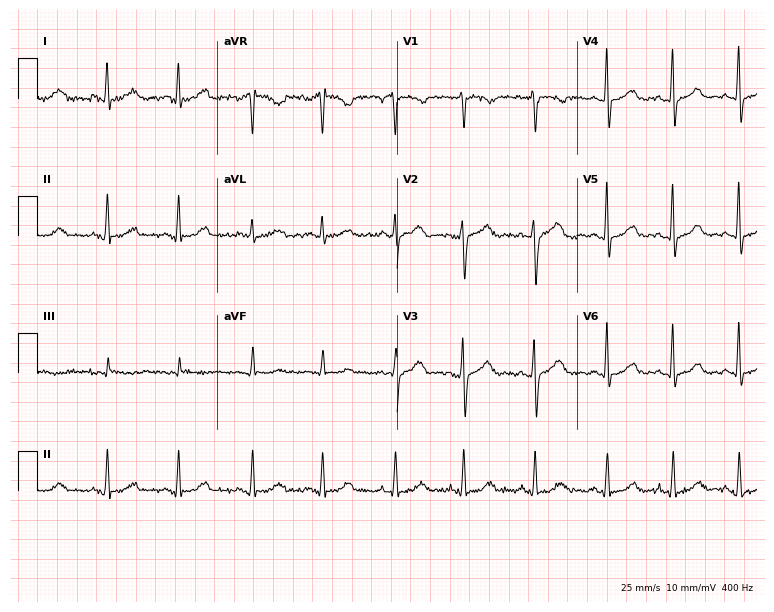
Standard 12-lead ECG recorded from a 47-year-old female. Read as a normal ECG.